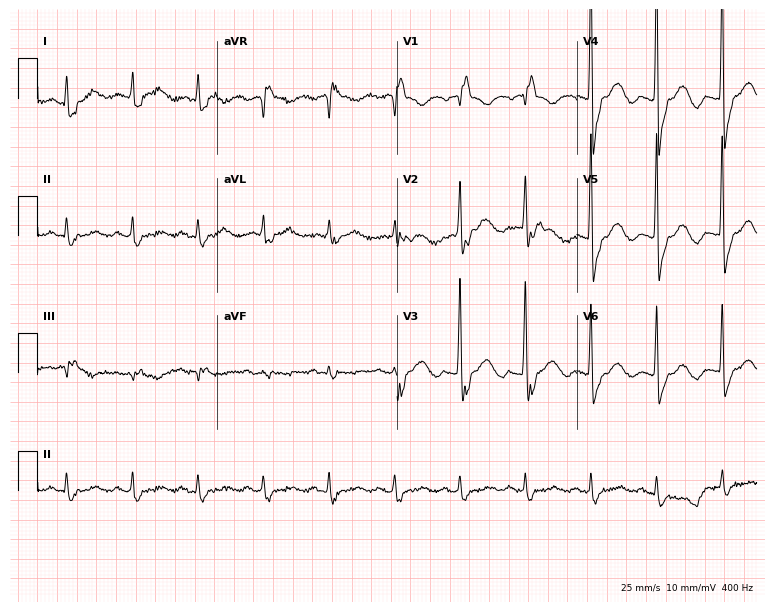
ECG (7.3-second recording at 400 Hz) — a female patient, 85 years old. Findings include right bundle branch block.